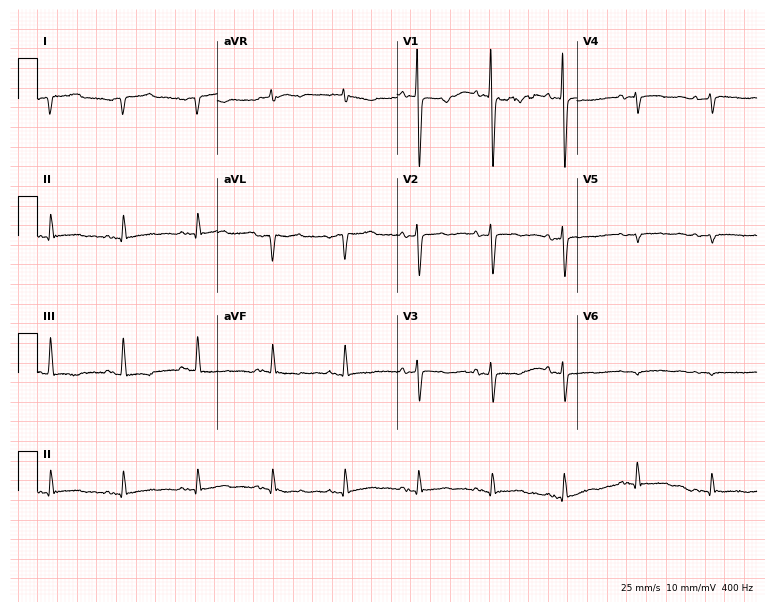
12-lead ECG from a woman, 84 years old. No first-degree AV block, right bundle branch block (RBBB), left bundle branch block (LBBB), sinus bradycardia, atrial fibrillation (AF) or sinus tachycardia recorded for this tracing. Other findings, if any, are not listed.